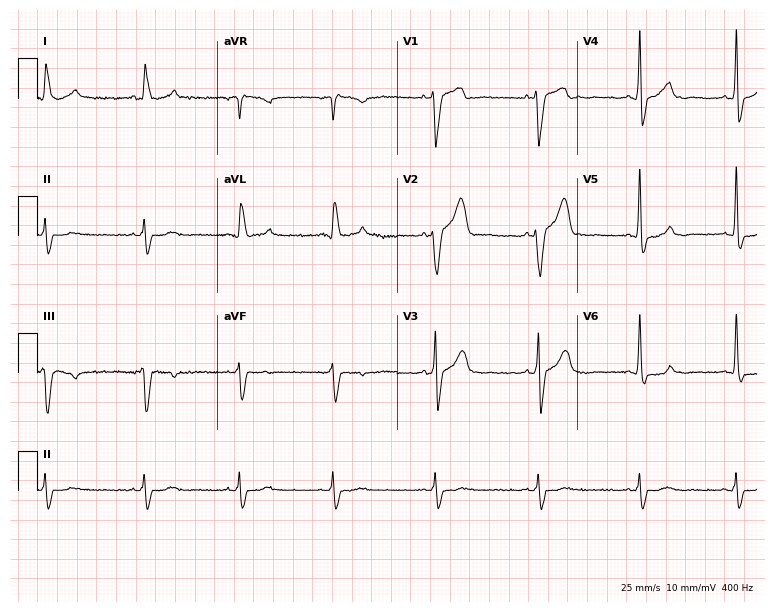
12-lead ECG (7.3-second recording at 400 Hz) from a male, 73 years old. Screened for six findings — first-degree AV block, right bundle branch block (RBBB), left bundle branch block (LBBB), sinus bradycardia, atrial fibrillation (AF), sinus tachycardia — none is recorded. Only these six findings were labelled.